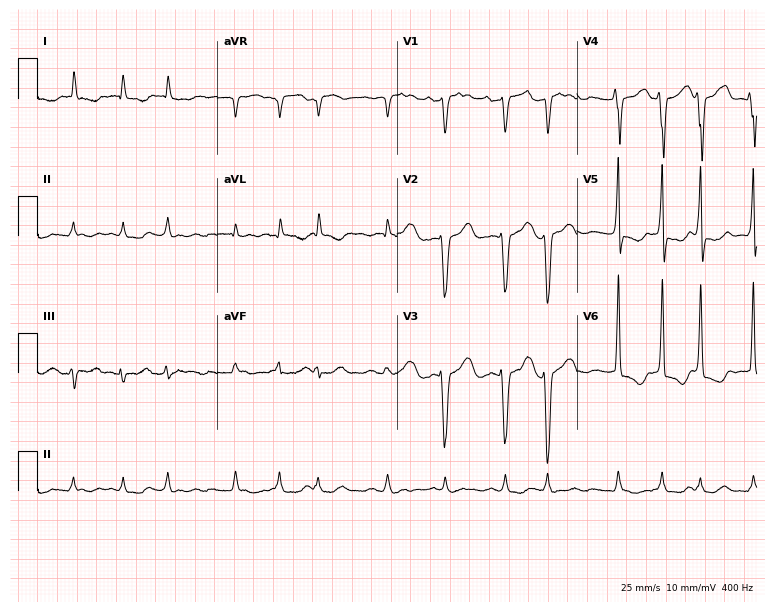
Resting 12-lead electrocardiogram. Patient: a 64-year-old female. The tracing shows atrial fibrillation.